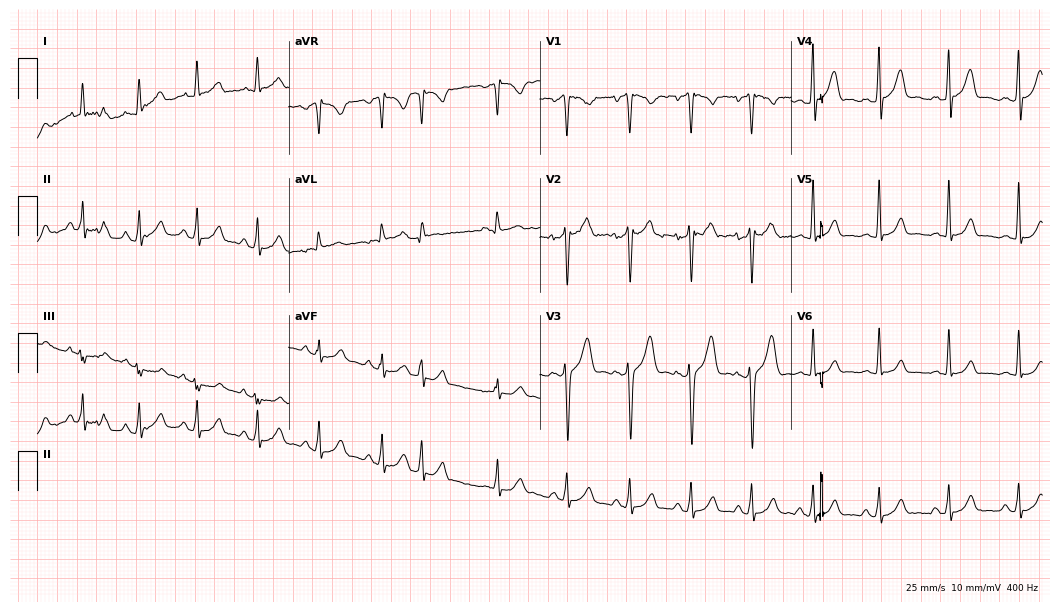
Standard 12-lead ECG recorded from an 18-year-old male patient (10.2-second recording at 400 Hz). None of these six findings is recorded: first-degree AV block, right bundle branch block, left bundle branch block, sinus bradycardia, atrial fibrillation, sinus tachycardia. Other findings, if any, are not listed.